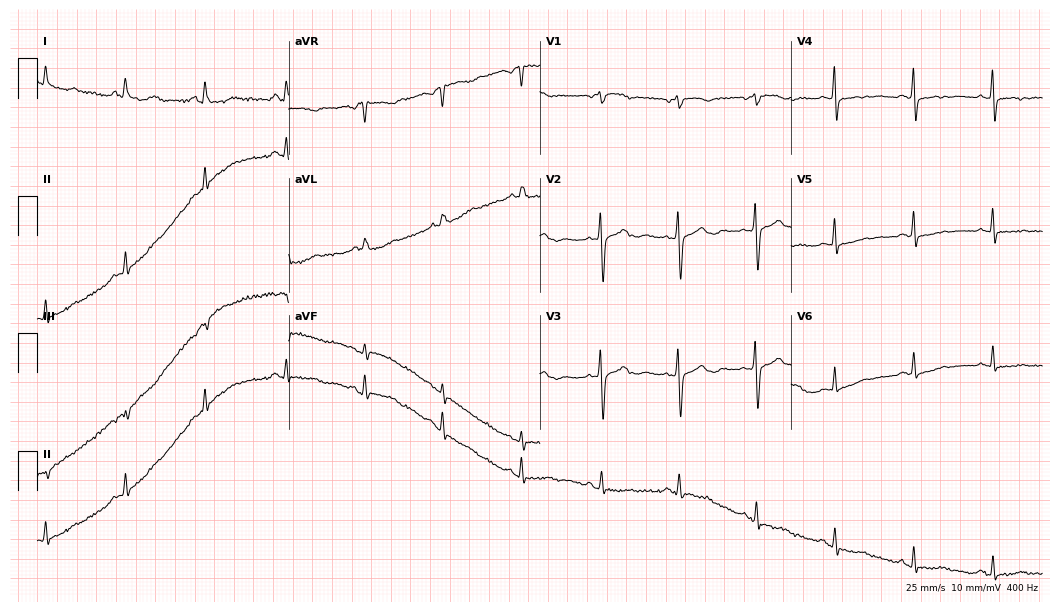
Standard 12-lead ECG recorded from a 76-year-old woman (10.2-second recording at 400 Hz). Read as a normal ECG.